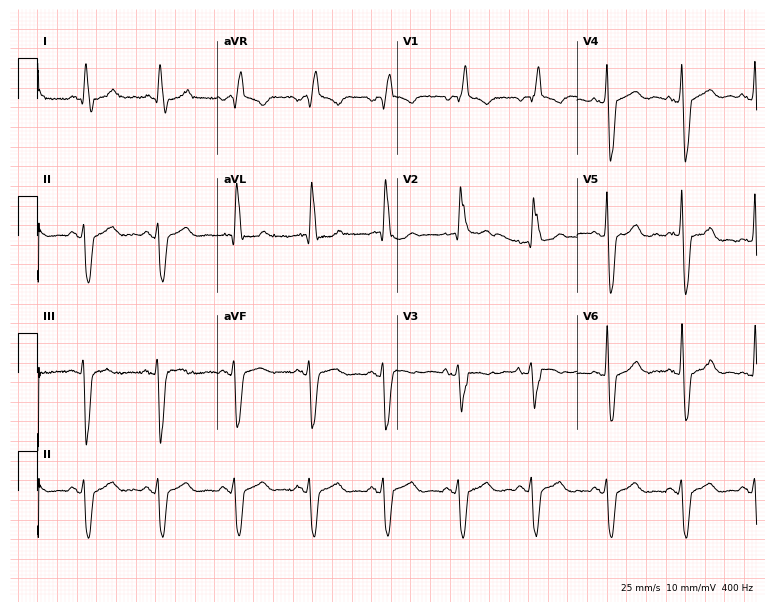
12-lead ECG from an 83-year-old male (7.3-second recording at 400 Hz). Shows right bundle branch block.